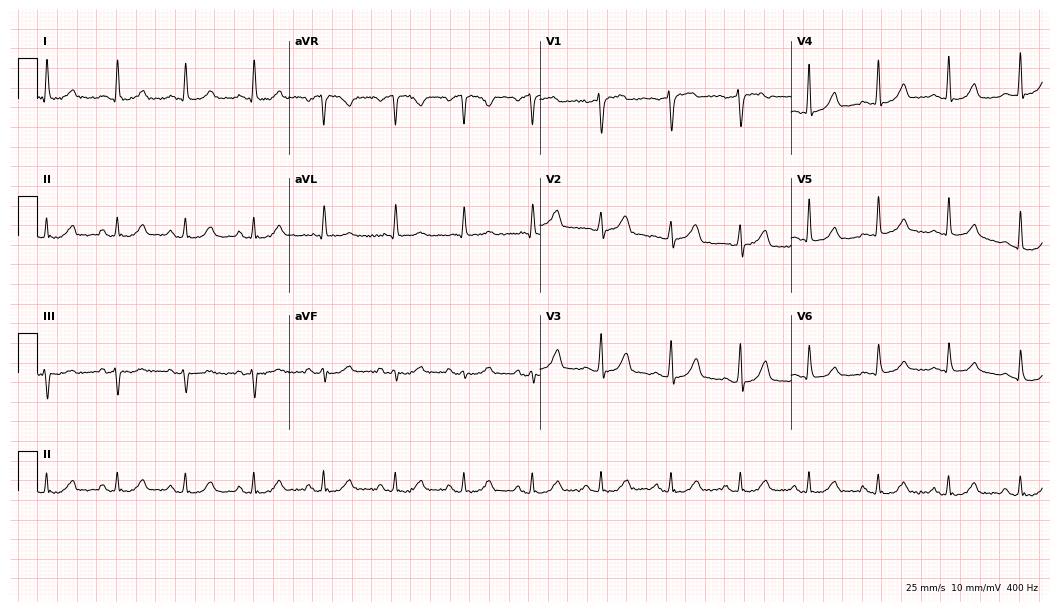
ECG (10.2-second recording at 400 Hz) — a female, 68 years old. Screened for six findings — first-degree AV block, right bundle branch block, left bundle branch block, sinus bradycardia, atrial fibrillation, sinus tachycardia — none is recorded. Other findings, if any, are not listed.